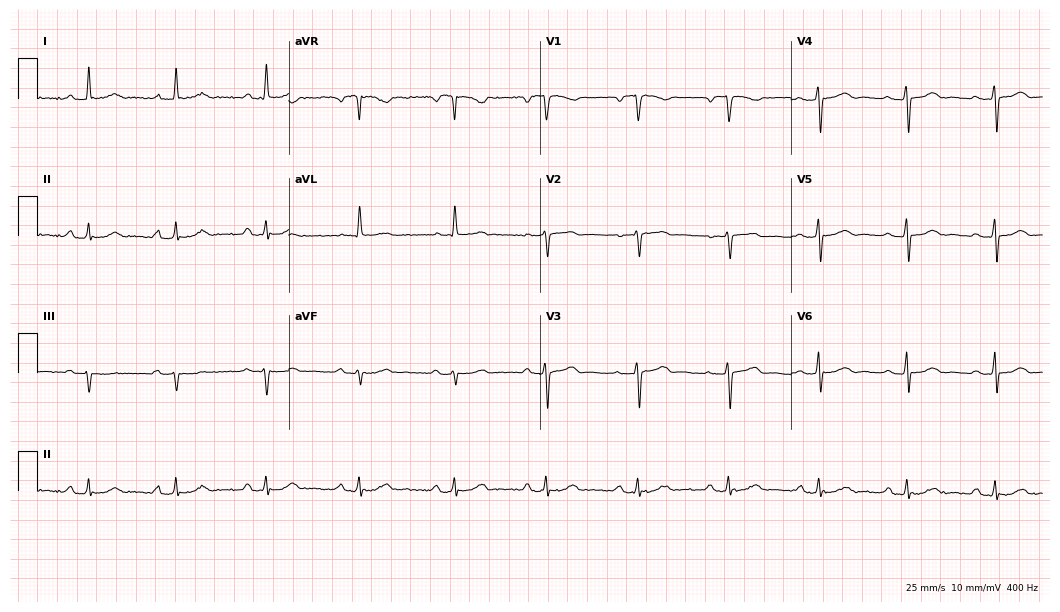
Standard 12-lead ECG recorded from a 68-year-old female patient (10.2-second recording at 400 Hz). Read as a normal ECG.